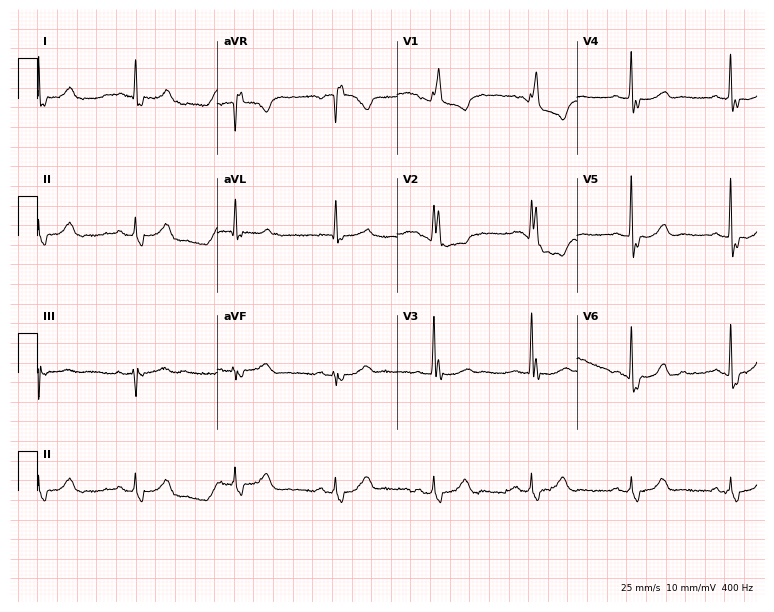
Standard 12-lead ECG recorded from a 73-year-old female. None of these six findings is recorded: first-degree AV block, right bundle branch block, left bundle branch block, sinus bradycardia, atrial fibrillation, sinus tachycardia.